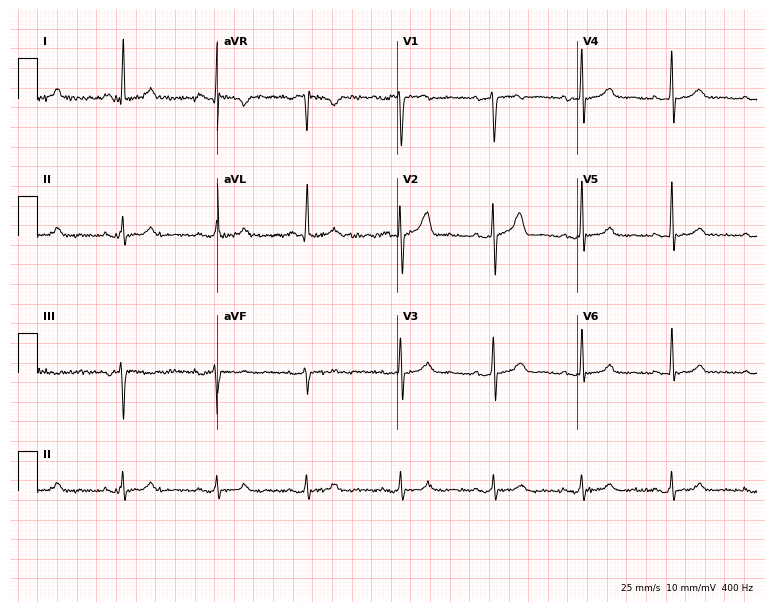
Resting 12-lead electrocardiogram. Patient: a 41-year-old woman. None of these six findings is recorded: first-degree AV block, right bundle branch block (RBBB), left bundle branch block (LBBB), sinus bradycardia, atrial fibrillation (AF), sinus tachycardia.